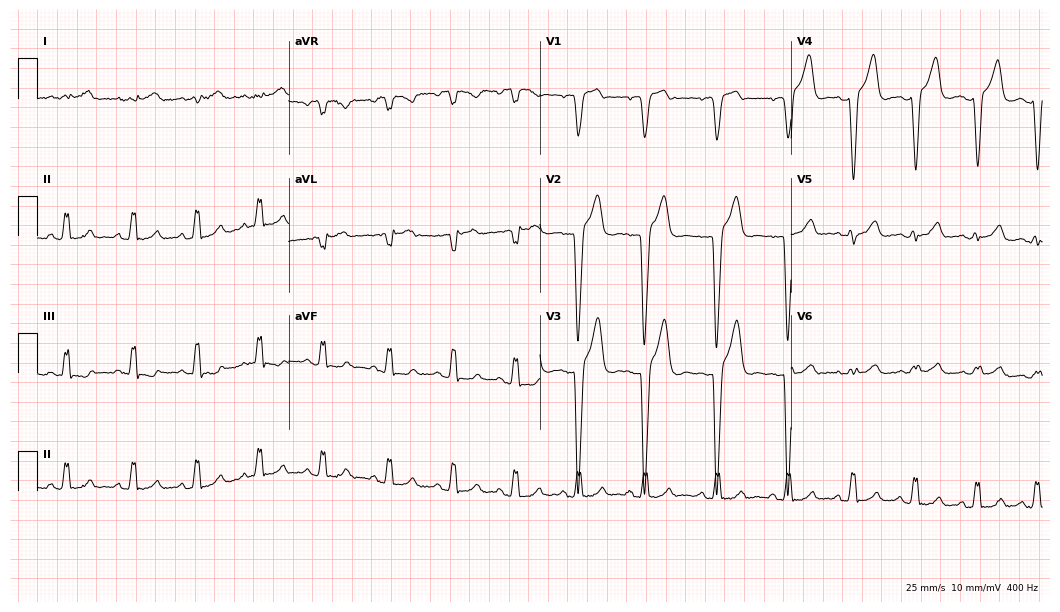
Electrocardiogram, a woman, 27 years old. Interpretation includes left bundle branch block (LBBB).